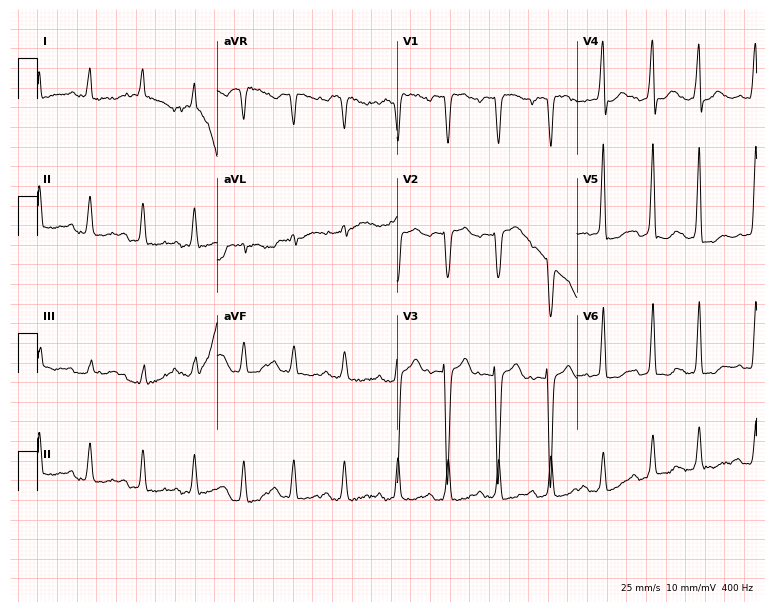
12-lead ECG (7.3-second recording at 400 Hz) from a female patient, 82 years old. Findings include sinus tachycardia (a sinus rate of 100 beats per minute or more).